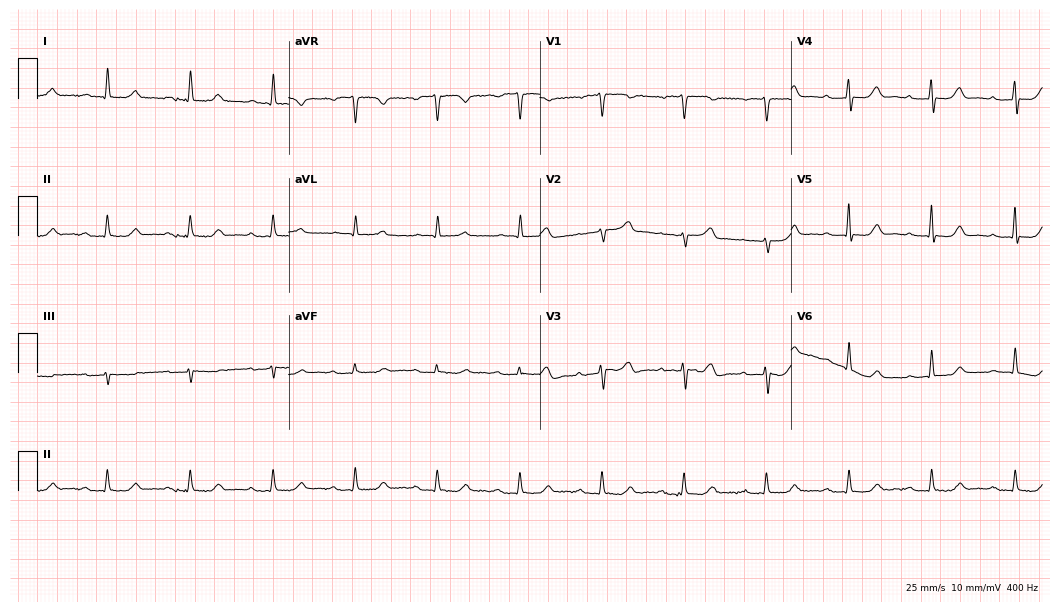
Resting 12-lead electrocardiogram. Patient: a 76-year-old female. The tracing shows first-degree AV block.